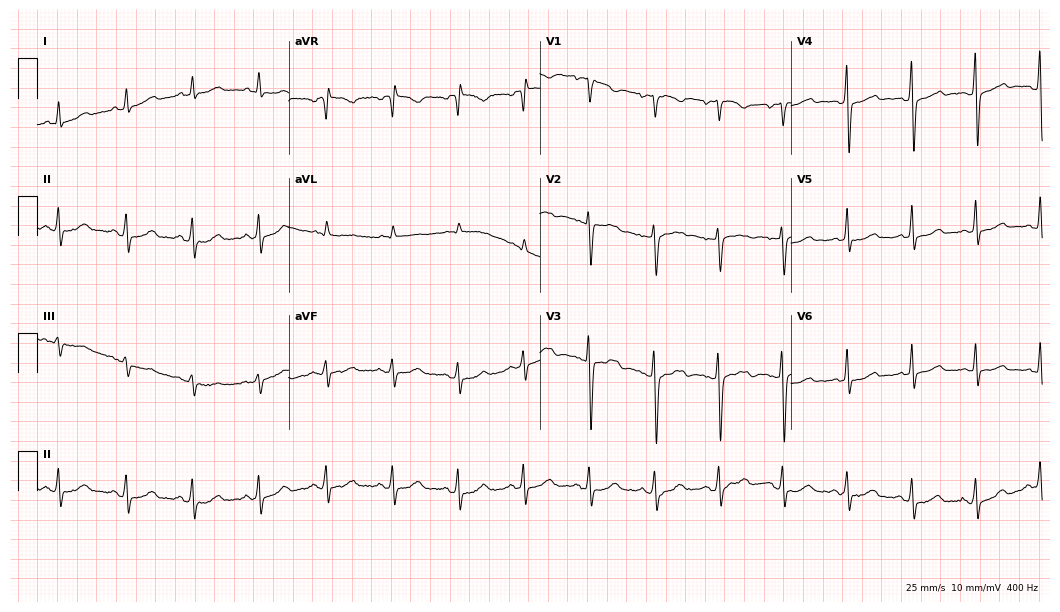
12-lead ECG from a 26-year-old woman. No first-degree AV block, right bundle branch block (RBBB), left bundle branch block (LBBB), sinus bradycardia, atrial fibrillation (AF) or sinus tachycardia recorded for this tracing. Findings outside these six are not listed.